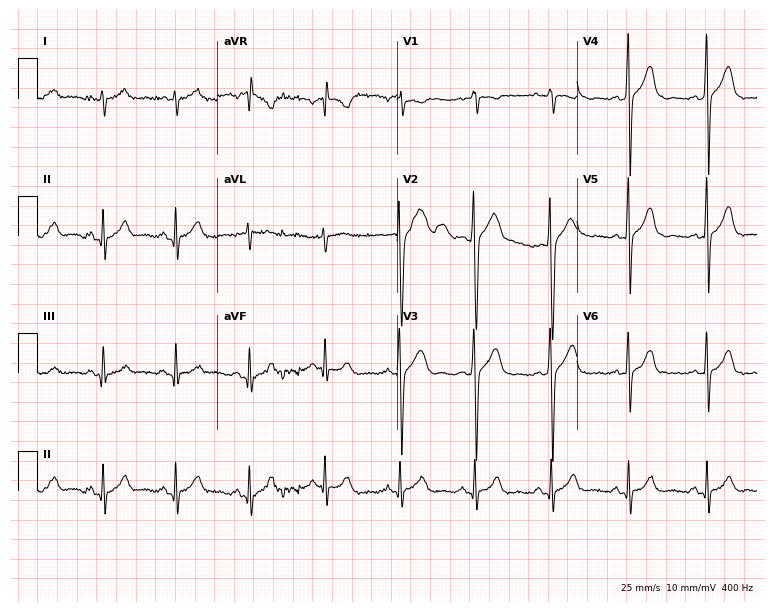
Standard 12-lead ECG recorded from a 52-year-old male patient. None of these six findings is recorded: first-degree AV block, right bundle branch block, left bundle branch block, sinus bradycardia, atrial fibrillation, sinus tachycardia. Other findings, if any, are not listed.